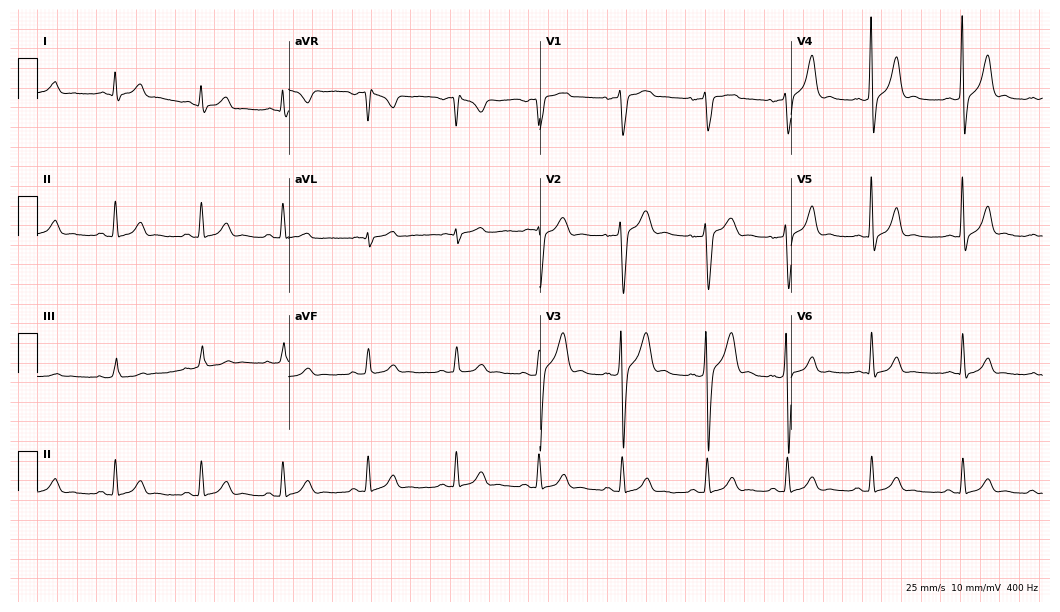
12-lead ECG from a 20-year-old man (10.2-second recording at 400 Hz). Recorded interpretation: within normal limits.